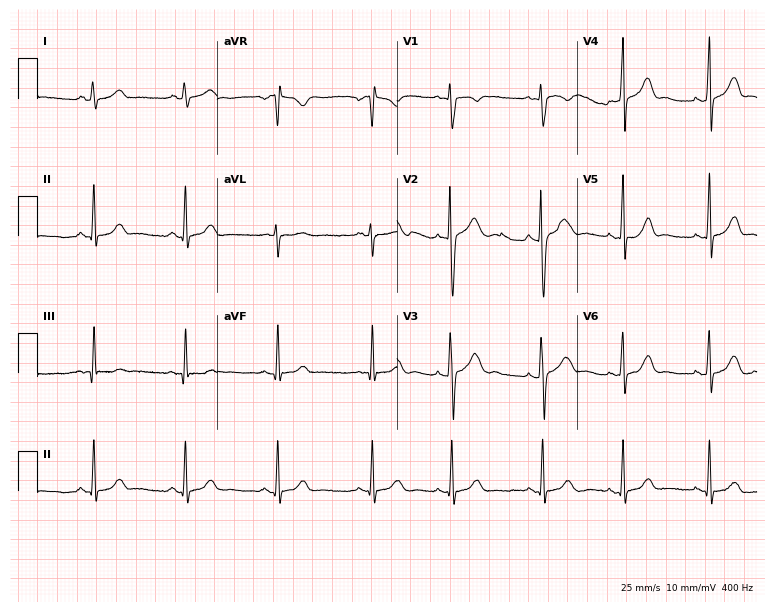
Resting 12-lead electrocardiogram (7.3-second recording at 400 Hz). Patient: a woman, 19 years old. None of these six findings is recorded: first-degree AV block, right bundle branch block, left bundle branch block, sinus bradycardia, atrial fibrillation, sinus tachycardia.